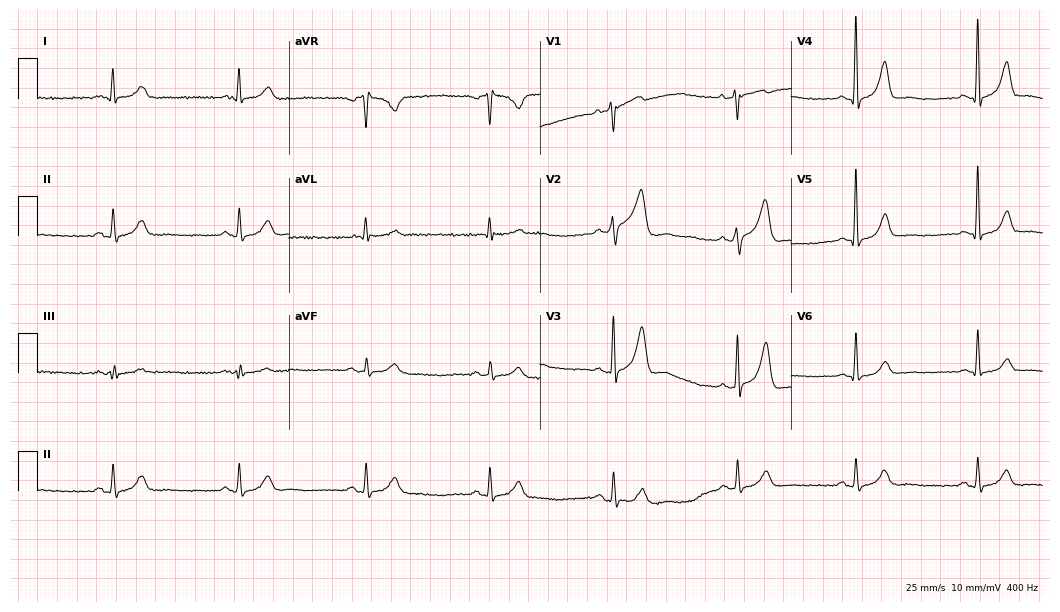
12-lead ECG from a male, 57 years old. Findings include sinus bradycardia (a sinus rate of 50 beats per minute or less).